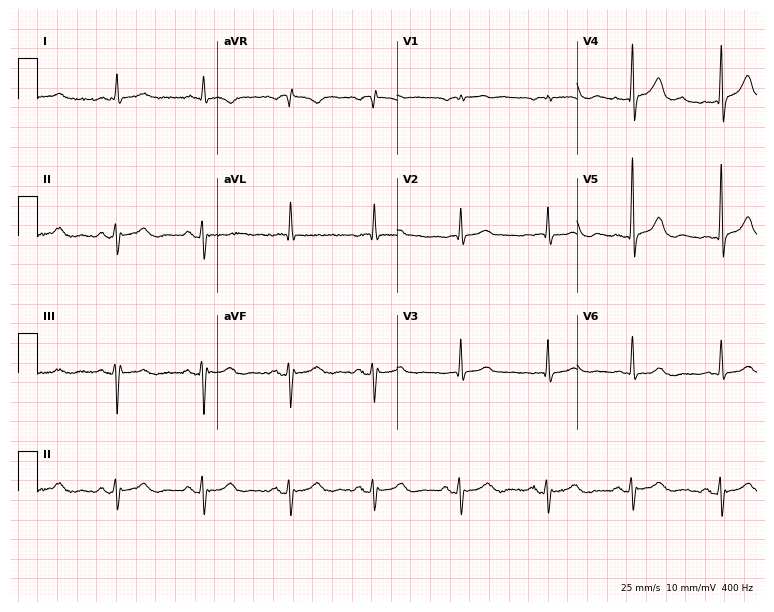
12-lead ECG from an 80-year-old male. Screened for six findings — first-degree AV block, right bundle branch block, left bundle branch block, sinus bradycardia, atrial fibrillation, sinus tachycardia — none is recorded. Only these six findings were labelled.